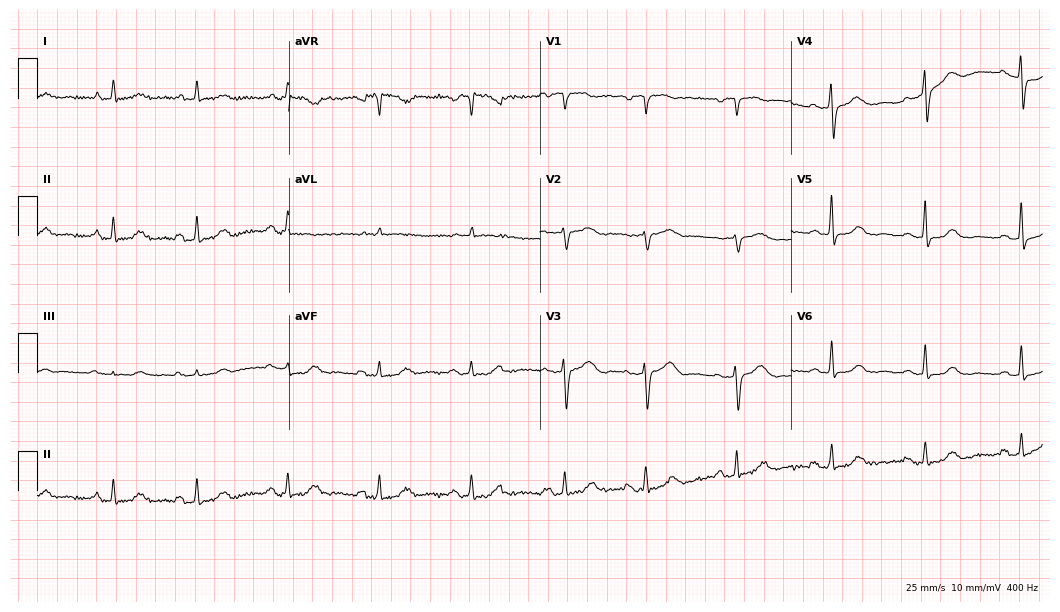
12-lead ECG (10.2-second recording at 400 Hz) from a female patient, 83 years old. Screened for six findings — first-degree AV block, right bundle branch block, left bundle branch block, sinus bradycardia, atrial fibrillation, sinus tachycardia — none is recorded. Only these six findings were labelled.